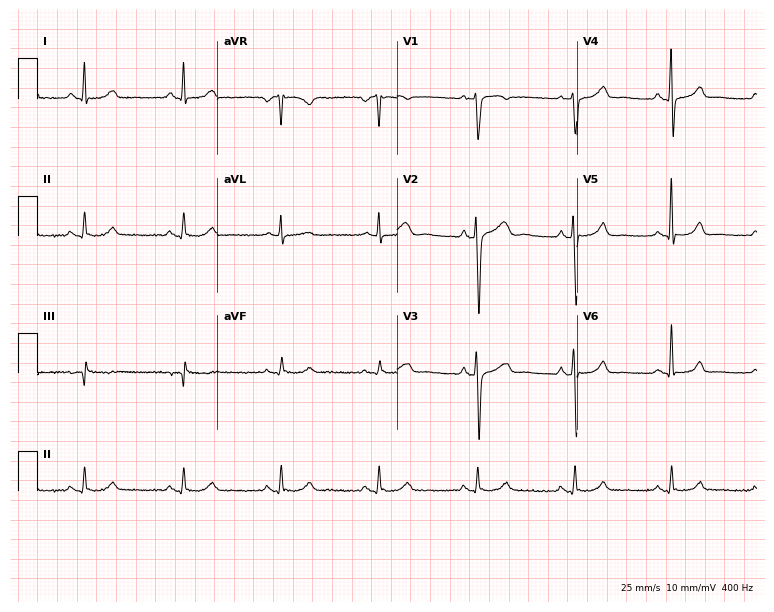
Resting 12-lead electrocardiogram (7.3-second recording at 400 Hz). Patient: a male, 65 years old. Read as a normal ECG.